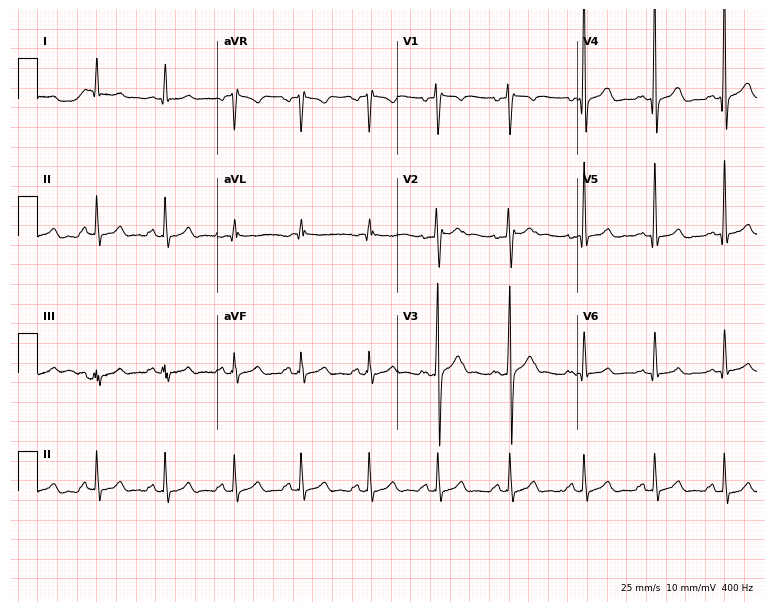
Standard 12-lead ECG recorded from a male patient, 27 years old (7.3-second recording at 400 Hz). Read as a normal ECG.